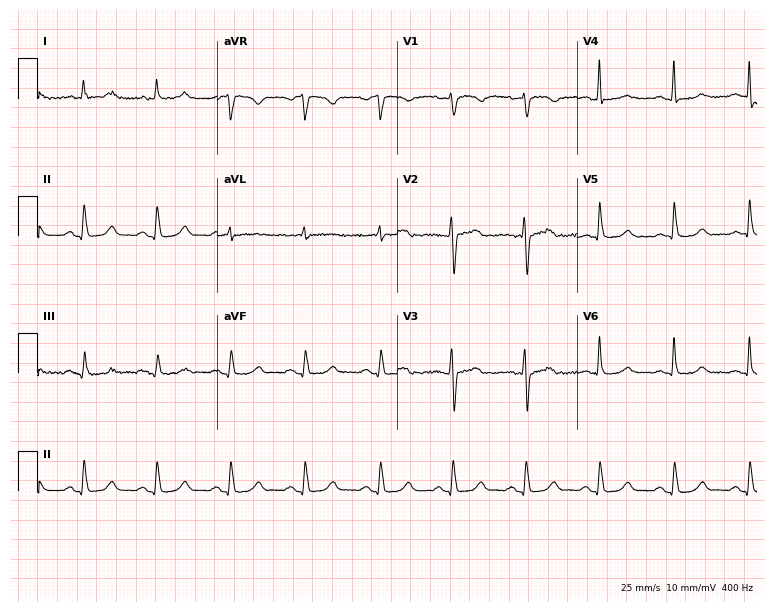
Standard 12-lead ECG recorded from a female patient, 49 years old. Read as a normal ECG.